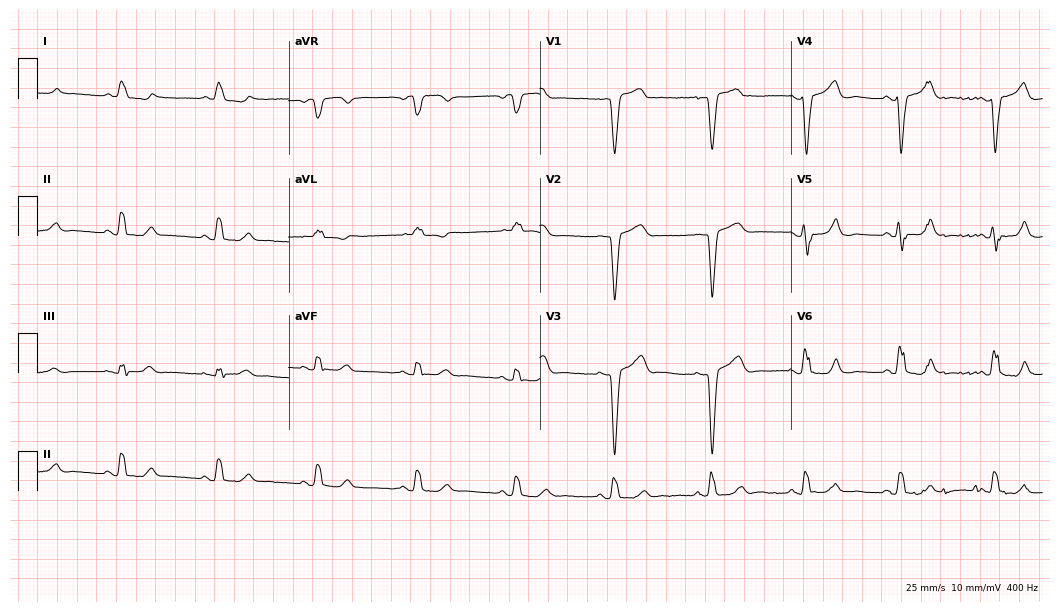
Electrocardiogram (10.2-second recording at 400 Hz), an 81-year-old woman. Interpretation includes left bundle branch block.